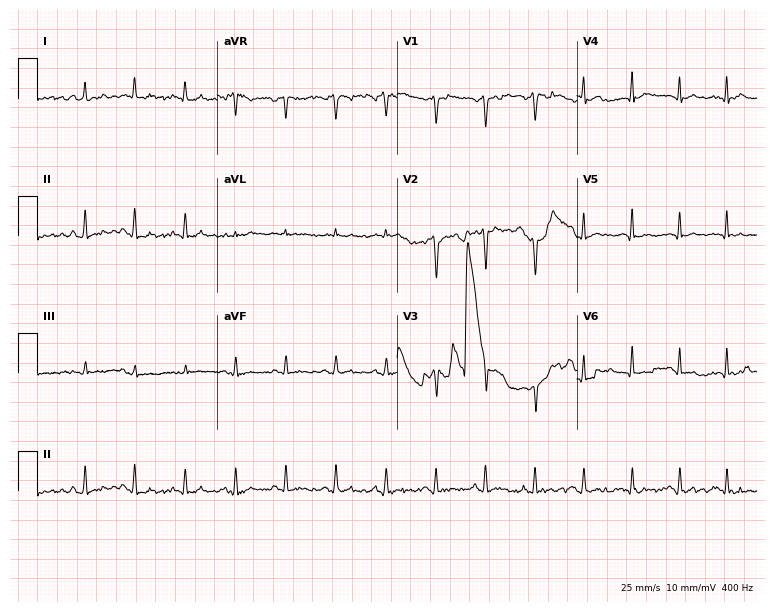
Standard 12-lead ECG recorded from a 28-year-old female patient. The tracing shows sinus tachycardia (a sinus rate of 100 beats per minute or more).